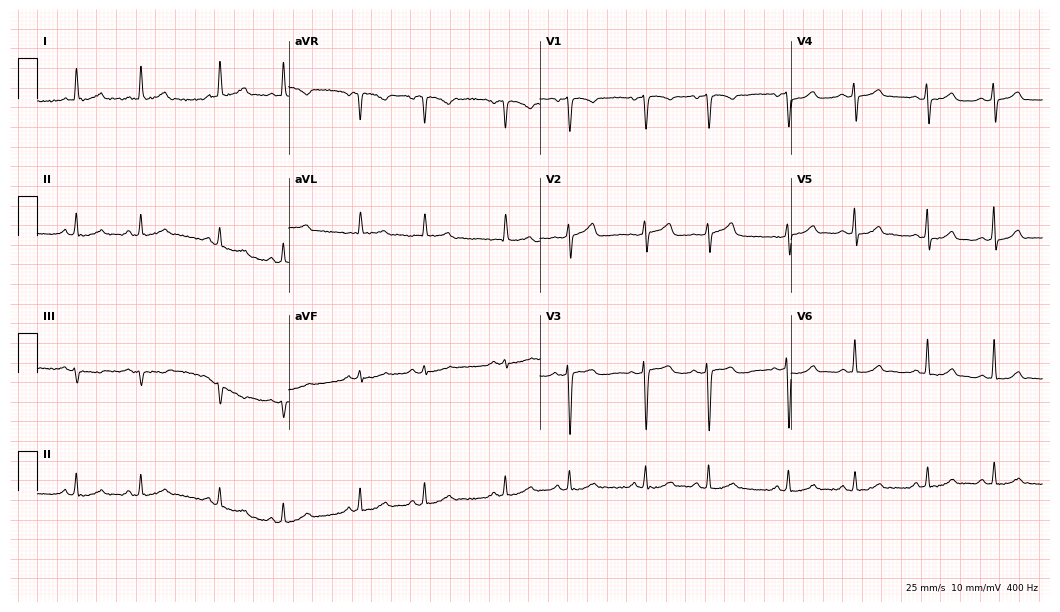
Standard 12-lead ECG recorded from a female patient, 74 years old (10.2-second recording at 400 Hz). Read as a normal ECG.